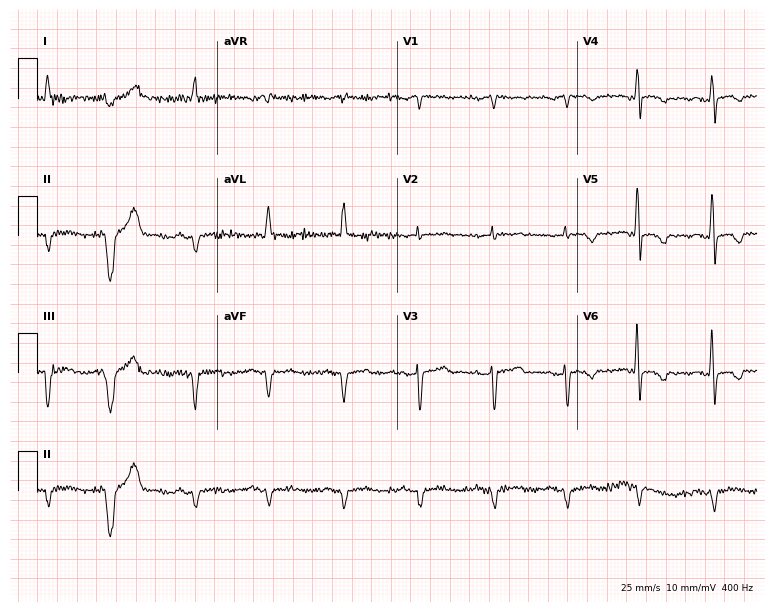
Standard 12-lead ECG recorded from a man, 74 years old. None of these six findings is recorded: first-degree AV block, right bundle branch block (RBBB), left bundle branch block (LBBB), sinus bradycardia, atrial fibrillation (AF), sinus tachycardia.